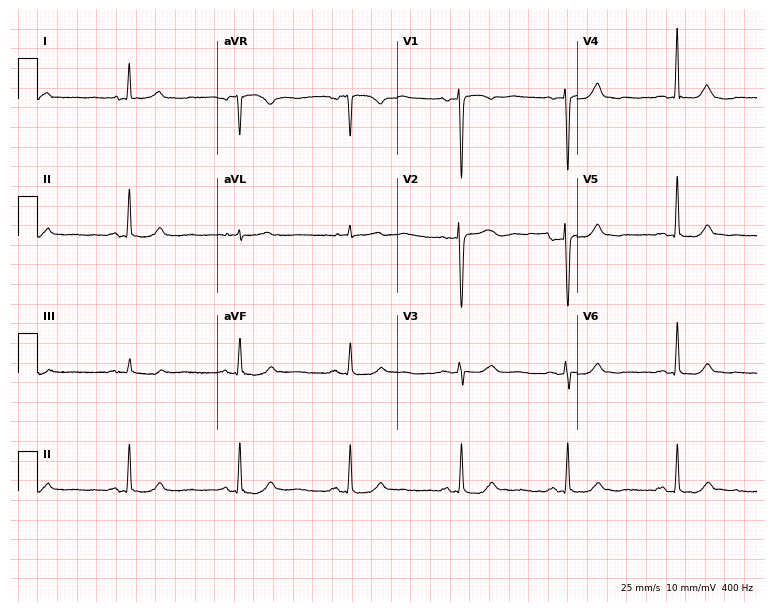
12-lead ECG from a 59-year-old woman. Recorded interpretation: within normal limits.